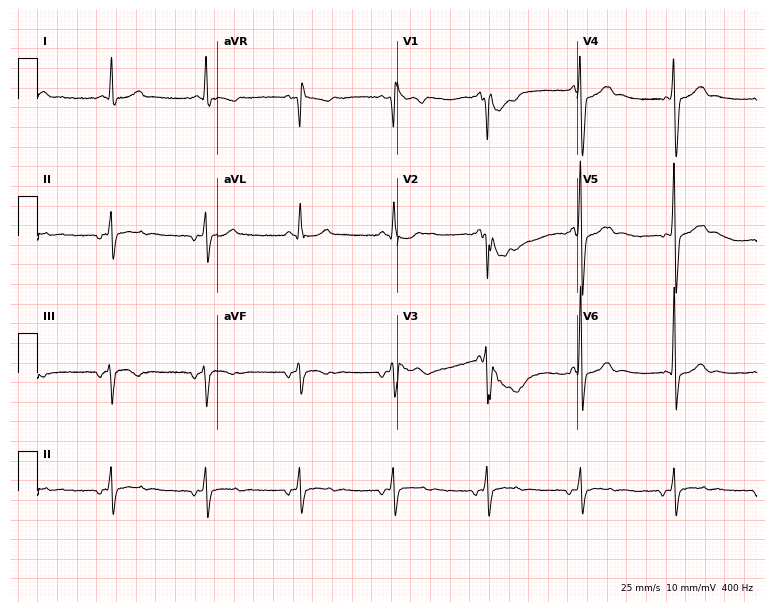
ECG (7.3-second recording at 400 Hz) — a 65-year-old male. Screened for six findings — first-degree AV block, right bundle branch block (RBBB), left bundle branch block (LBBB), sinus bradycardia, atrial fibrillation (AF), sinus tachycardia — none is recorded.